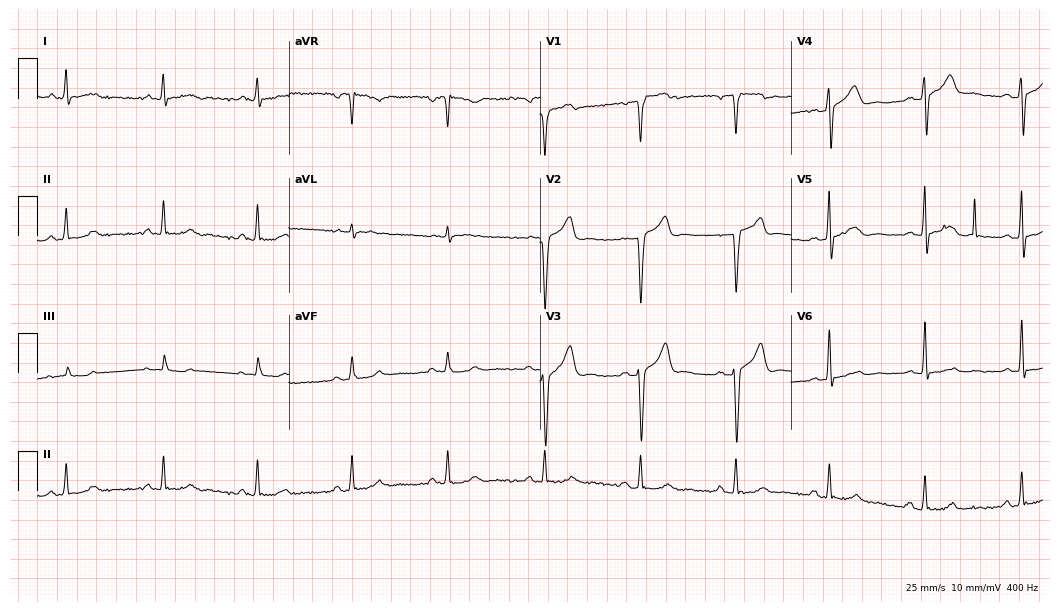
12-lead ECG from a male patient, 42 years old (10.2-second recording at 400 Hz). No first-degree AV block, right bundle branch block (RBBB), left bundle branch block (LBBB), sinus bradycardia, atrial fibrillation (AF) or sinus tachycardia recorded for this tracing.